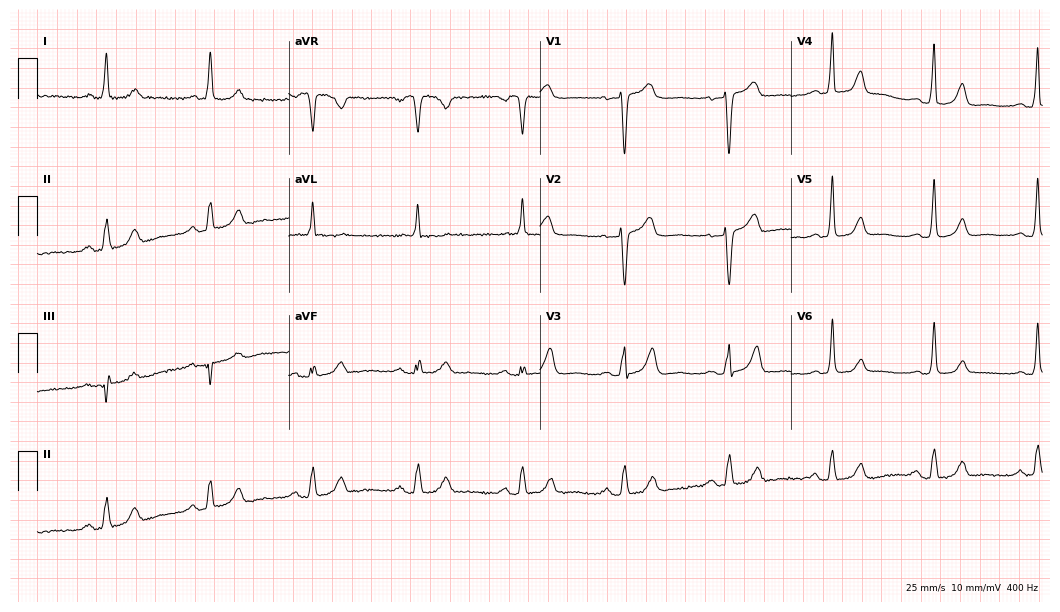
Standard 12-lead ECG recorded from a 78-year-old female. None of these six findings is recorded: first-degree AV block, right bundle branch block, left bundle branch block, sinus bradycardia, atrial fibrillation, sinus tachycardia. Only these six findings were labelled.